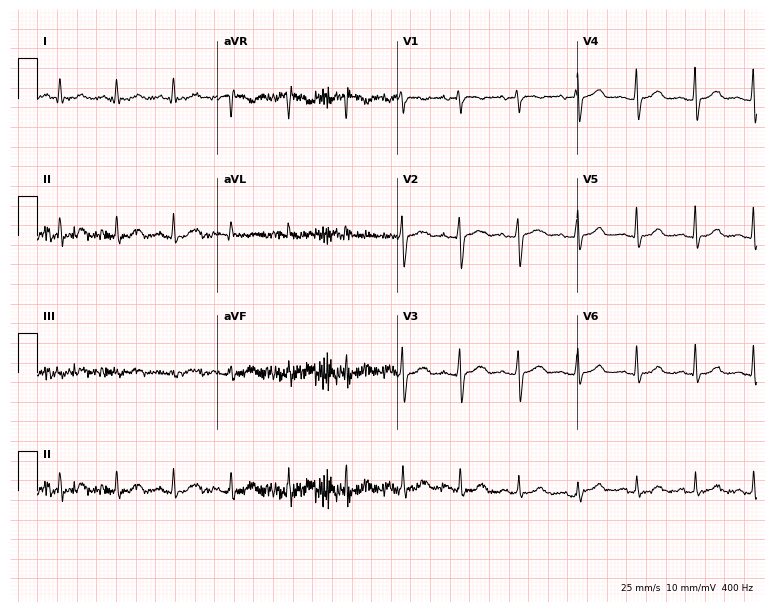
12-lead ECG (7.3-second recording at 400 Hz) from a 43-year-old female patient. Labelled as a normal ECG.